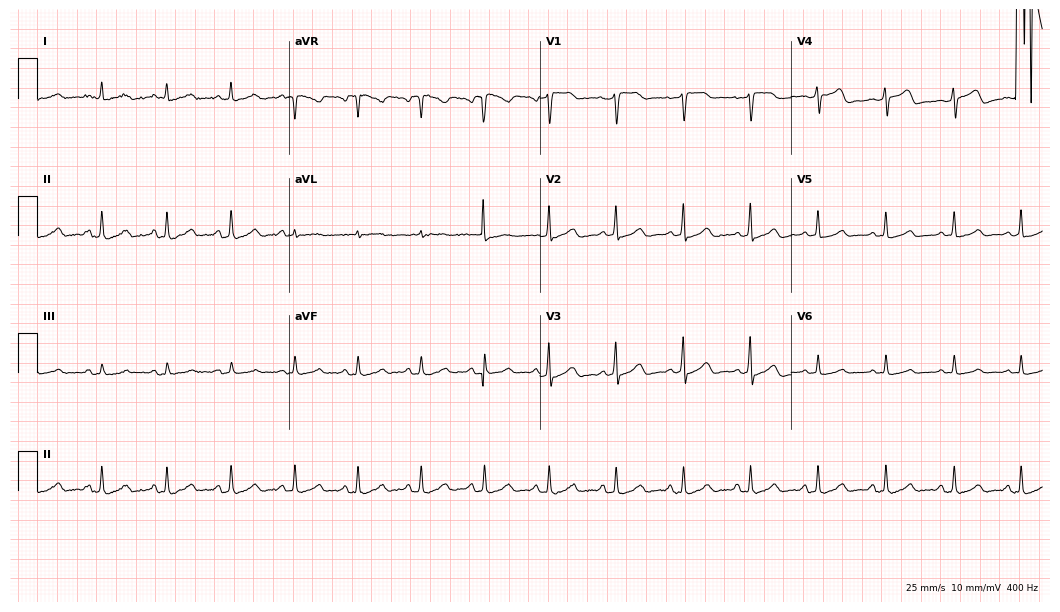
12-lead ECG from a 47-year-old female (10.2-second recording at 400 Hz). No first-degree AV block, right bundle branch block (RBBB), left bundle branch block (LBBB), sinus bradycardia, atrial fibrillation (AF) or sinus tachycardia recorded for this tracing. Only these six findings were labelled.